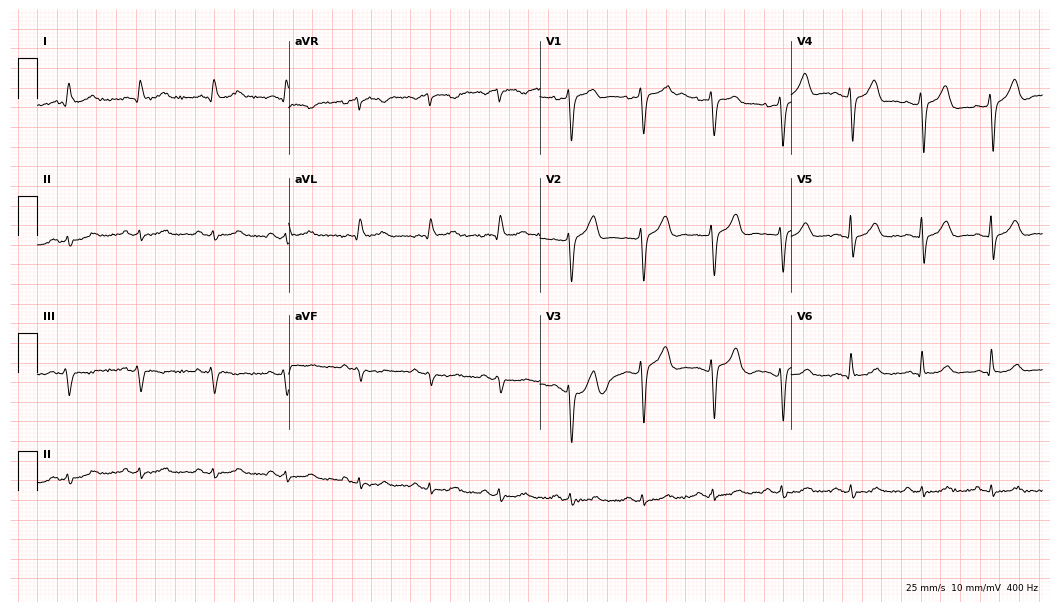
12-lead ECG (10.2-second recording at 400 Hz) from a male patient, 73 years old. Labelled as a normal ECG.